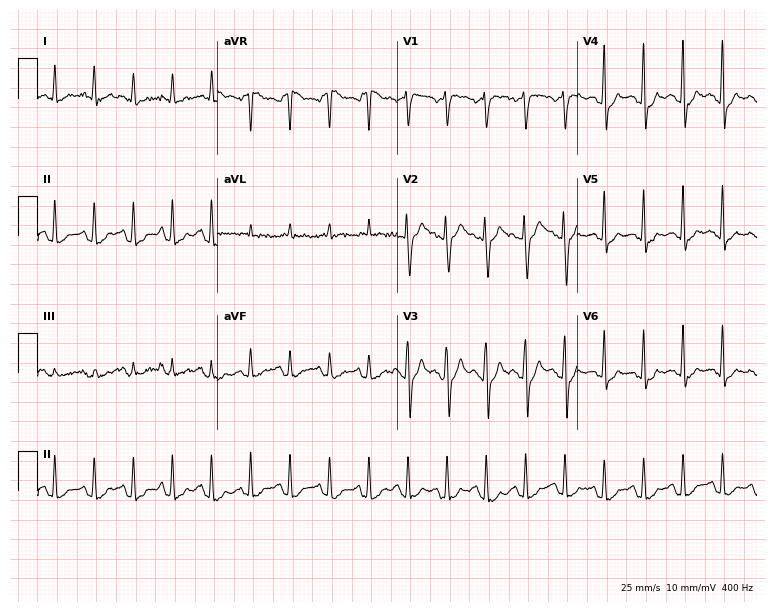
ECG — a woman, 34 years old. Findings include sinus tachycardia (a sinus rate of 100 beats per minute or more).